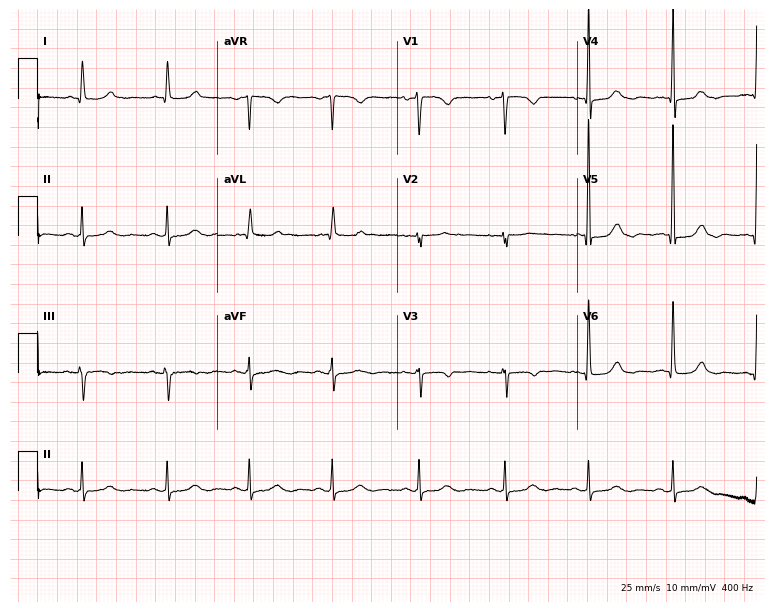
Electrocardiogram, a 73-year-old female patient. Of the six screened findings (first-degree AV block, right bundle branch block (RBBB), left bundle branch block (LBBB), sinus bradycardia, atrial fibrillation (AF), sinus tachycardia), none is recorded.